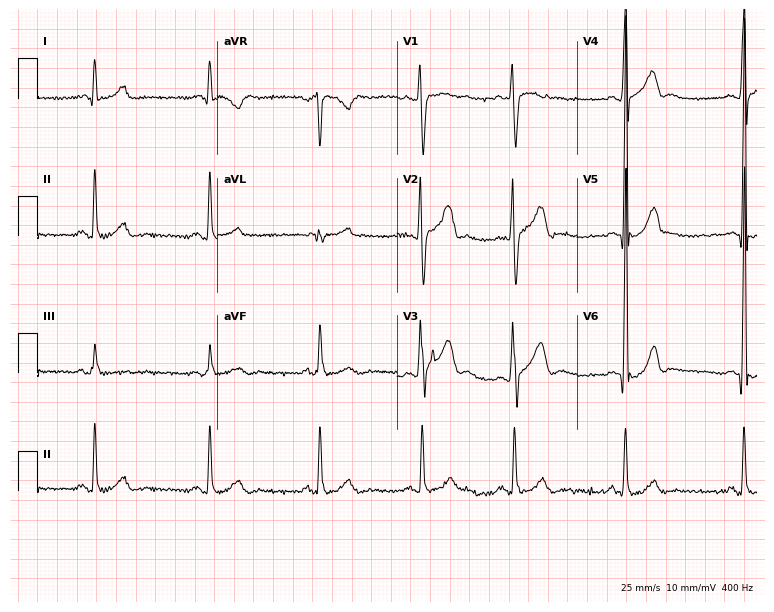
Resting 12-lead electrocardiogram. Patient: a 30-year-old man. None of these six findings is recorded: first-degree AV block, right bundle branch block (RBBB), left bundle branch block (LBBB), sinus bradycardia, atrial fibrillation (AF), sinus tachycardia.